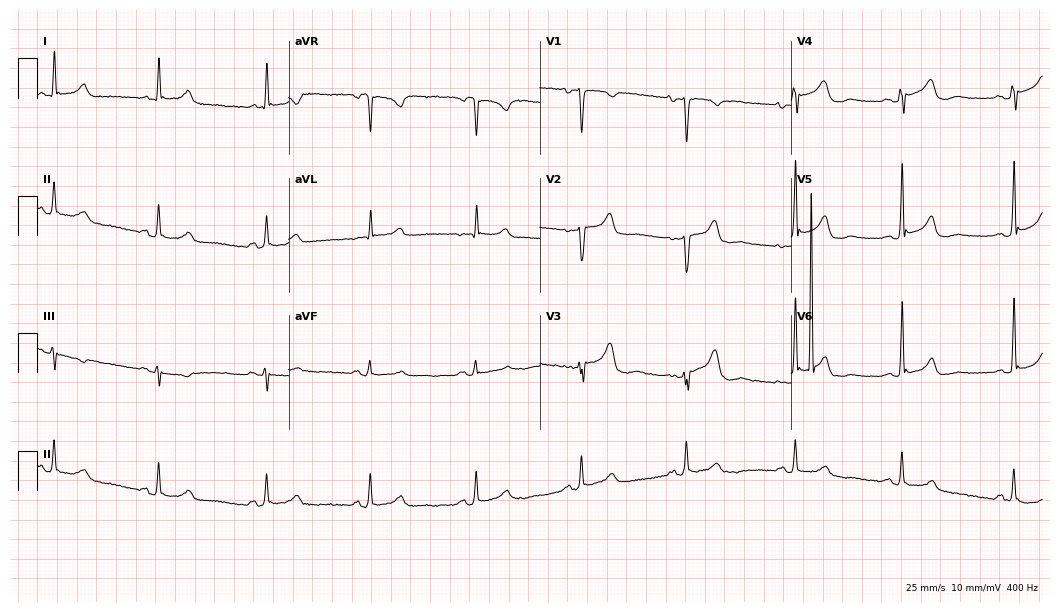
12-lead ECG from a male patient, 69 years old (10.2-second recording at 400 Hz). No first-degree AV block, right bundle branch block (RBBB), left bundle branch block (LBBB), sinus bradycardia, atrial fibrillation (AF) or sinus tachycardia recorded for this tracing. Other findings, if any, are not listed.